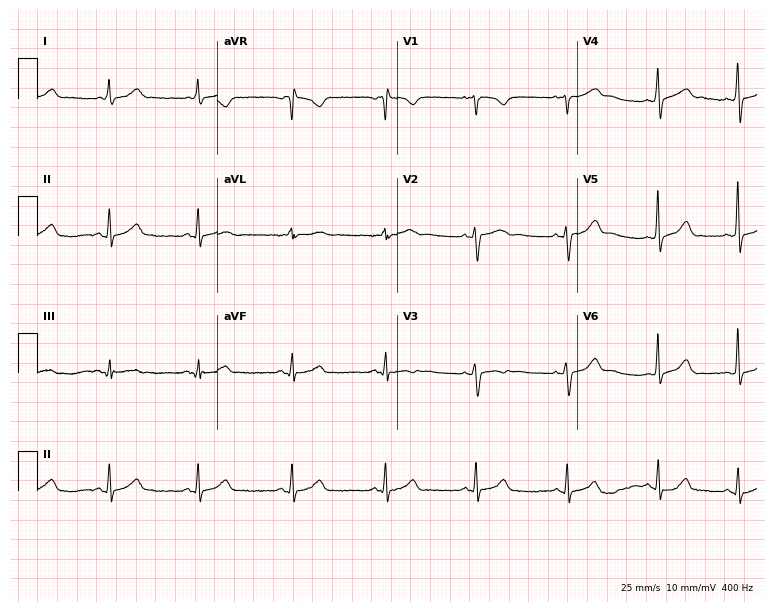
Resting 12-lead electrocardiogram. Patient: a female, 40 years old. Read as a normal ECG.